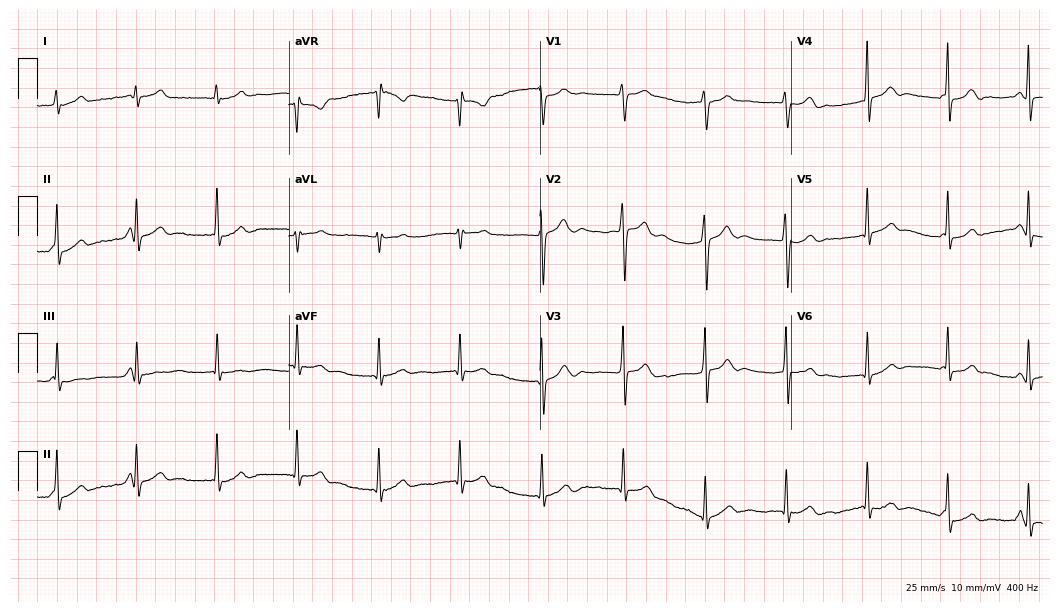
Resting 12-lead electrocardiogram. Patient: a 19-year-old man. None of these six findings is recorded: first-degree AV block, right bundle branch block, left bundle branch block, sinus bradycardia, atrial fibrillation, sinus tachycardia. Only these six findings were labelled.